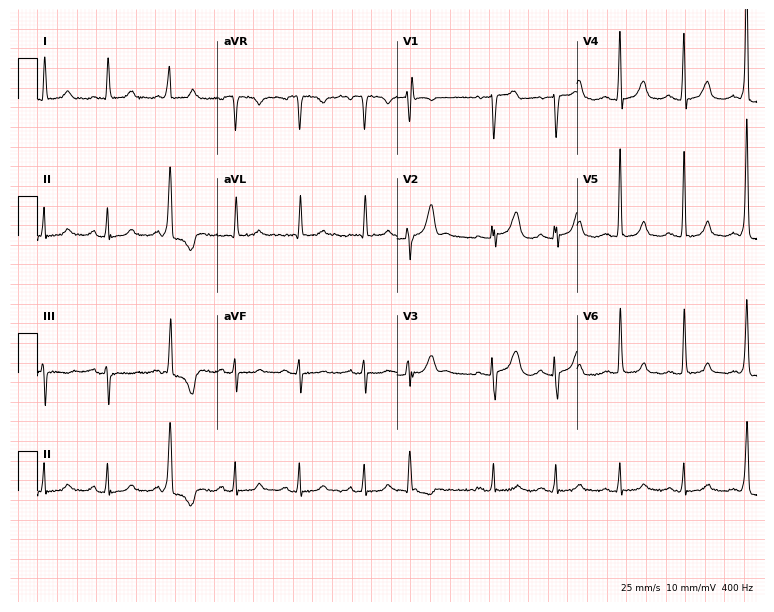
Electrocardiogram, an 84-year-old female. Of the six screened findings (first-degree AV block, right bundle branch block (RBBB), left bundle branch block (LBBB), sinus bradycardia, atrial fibrillation (AF), sinus tachycardia), none is recorded.